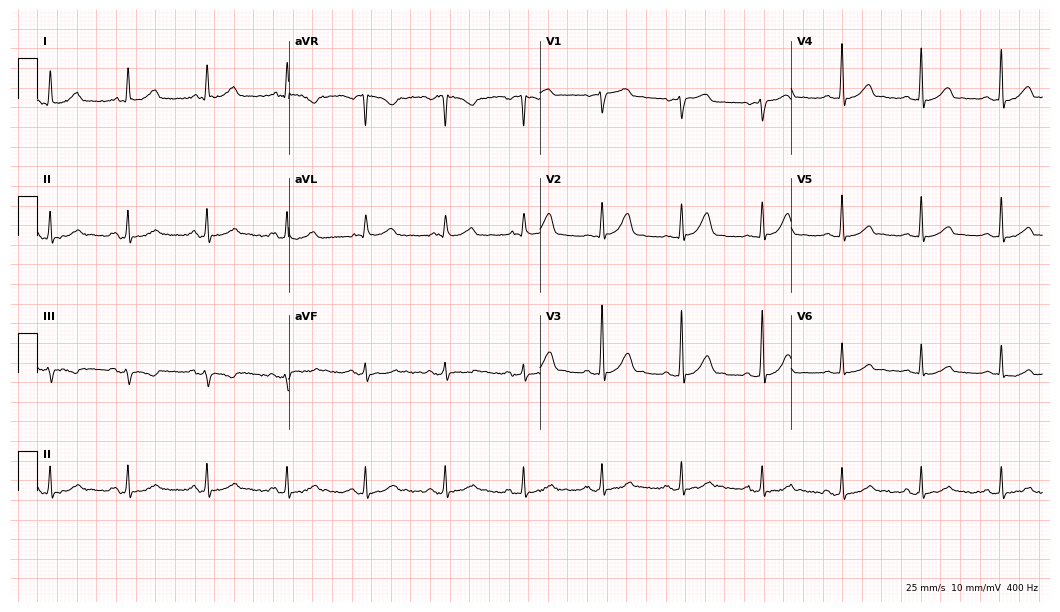
Electrocardiogram, a male patient, 80 years old. Overall reading on record: normal ECG.